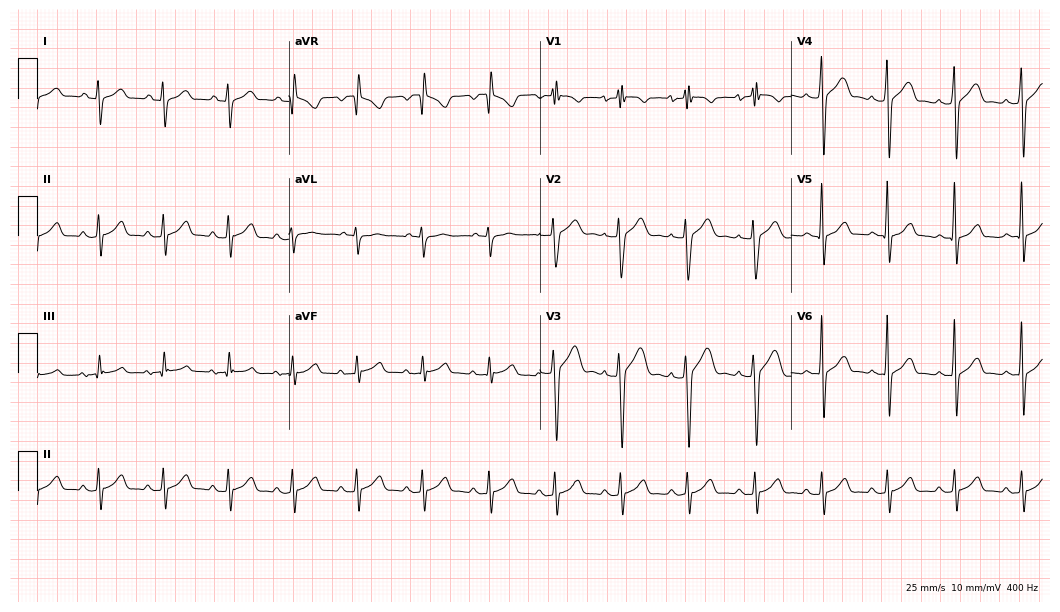
12-lead ECG from a 17-year-old male patient. No first-degree AV block, right bundle branch block, left bundle branch block, sinus bradycardia, atrial fibrillation or sinus tachycardia recorded for this tracing.